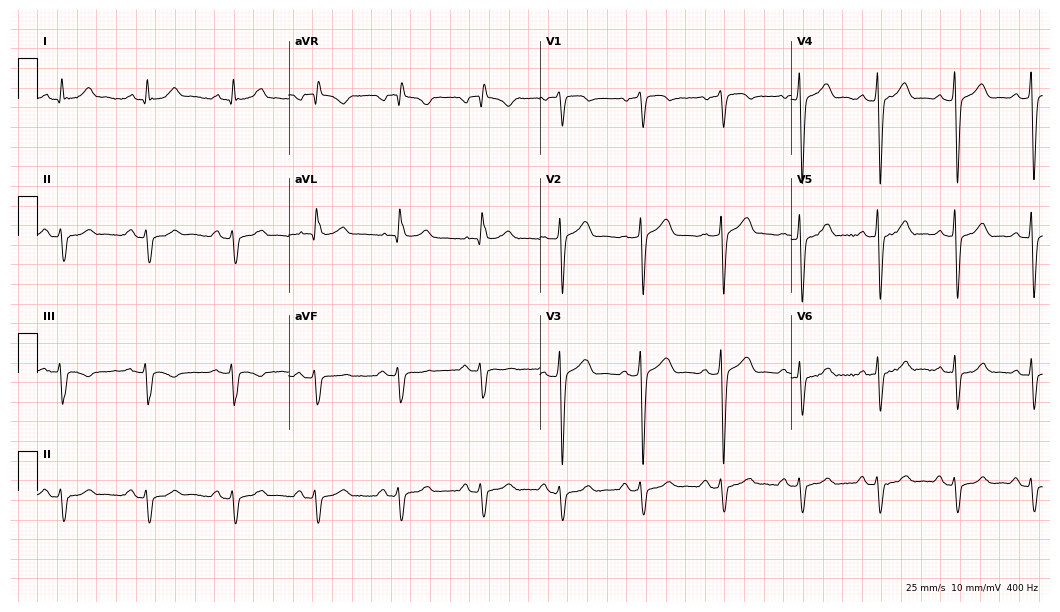
ECG (10.2-second recording at 400 Hz) — a man, 85 years old. Screened for six findings — first-degree AV block, right bundle branch block, left bundle branch block, sinus bradycardia, atrial fibrillation, sinus tachycardia — none is recorded.